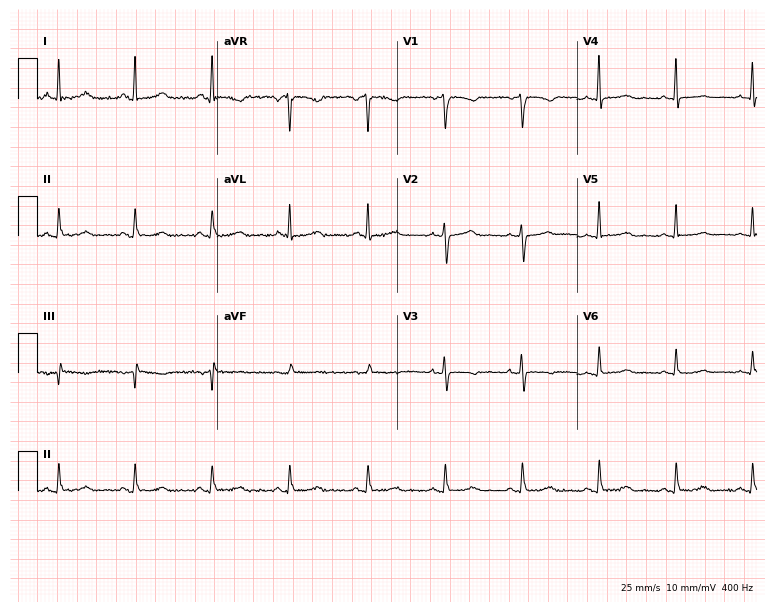
12-lead ECG (7.3-second recording at 400 Hz) from a 70-year-old woman. Screened for six findings — first-degree AV block, right bundle branch block, left bundle branch block, sinus bradycardia, atrial fibrillation, sinus tachycardia — none is recorded.